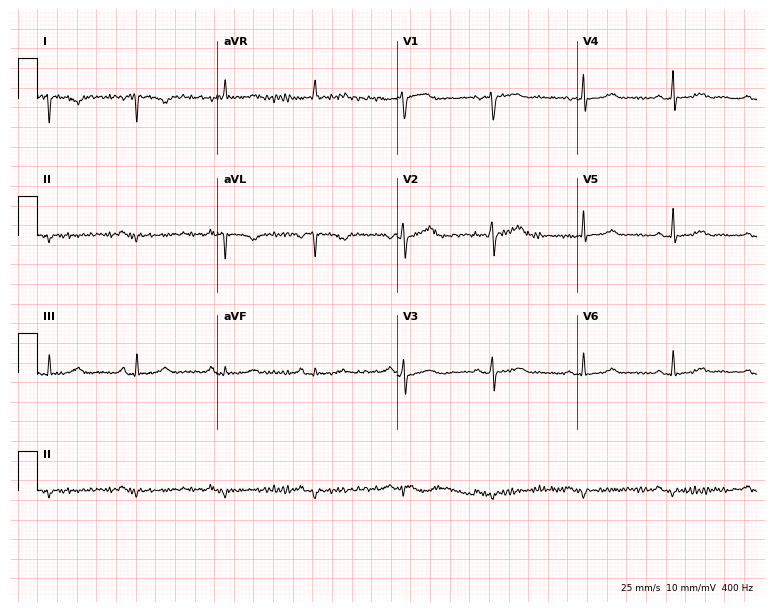
12-lead ECG from a female, 74 years old (7.3-second recording at 400 Hz). No first-degree AV block, right bundle branch block, left bundle branch block, sinus bradycardia, atrial fibrillation or sinus tachycardia recorded for this tracing.